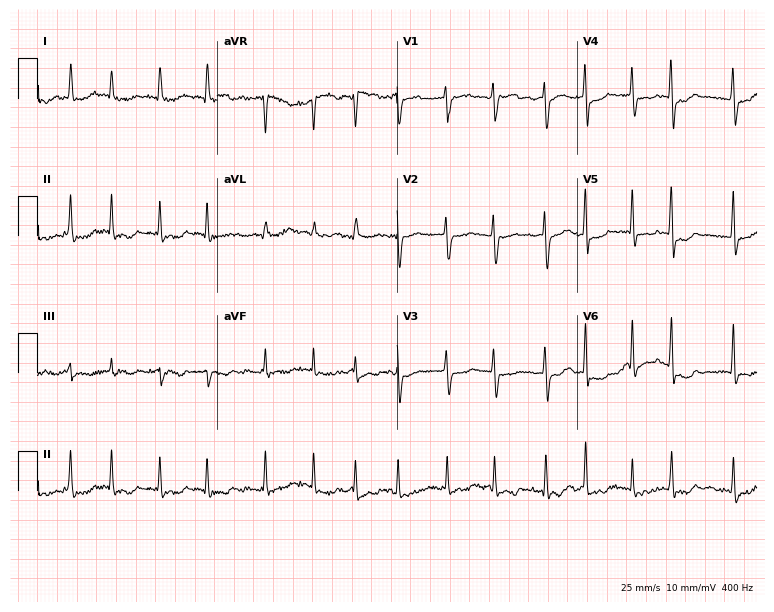
Resting 12-lead electrocardiogram (7.3-second recording at 400 Hz). Patient: a female, 77 years old. The tracing shows atrial fibrillation (AF).